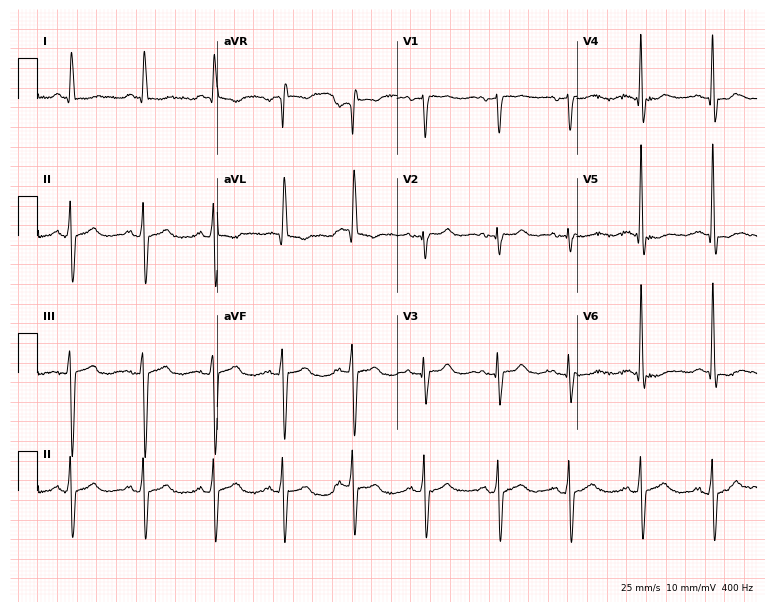
Standard 12-lead ECG recorded from a female patient, 65 years old (7.3-second recording at 400 Hz). None of these six findings is recorded: first-degree AV block, right bundle branch block, left bundle branch block, sinus bradycardia, atrial fibrillation, sinus tachycardia.